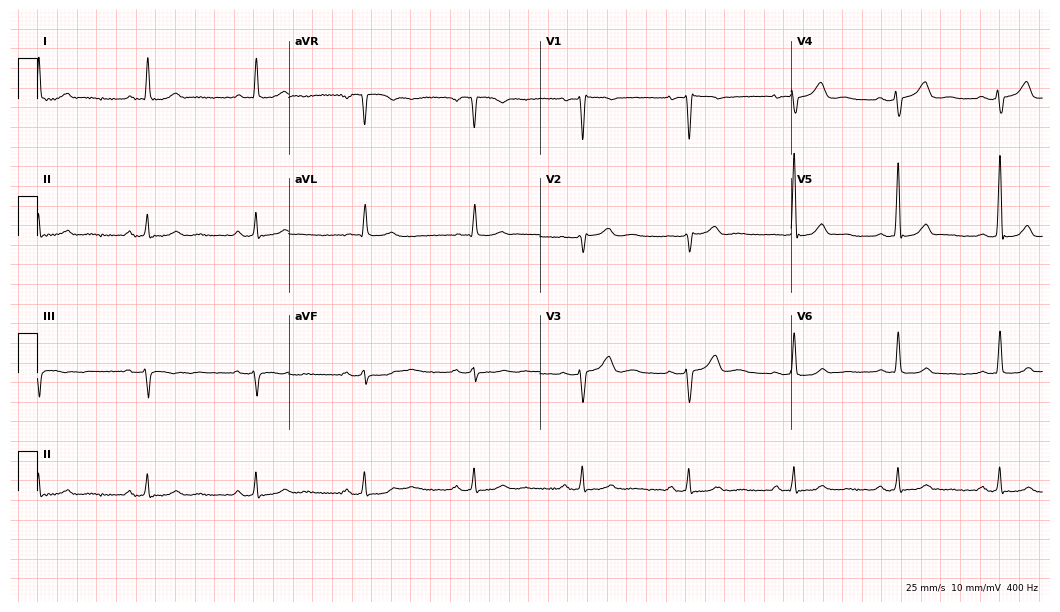
12-lead ECG from a 57-year-old female (10.2-second recording at 400 Hz). Recorded interpretation: within normal limits.